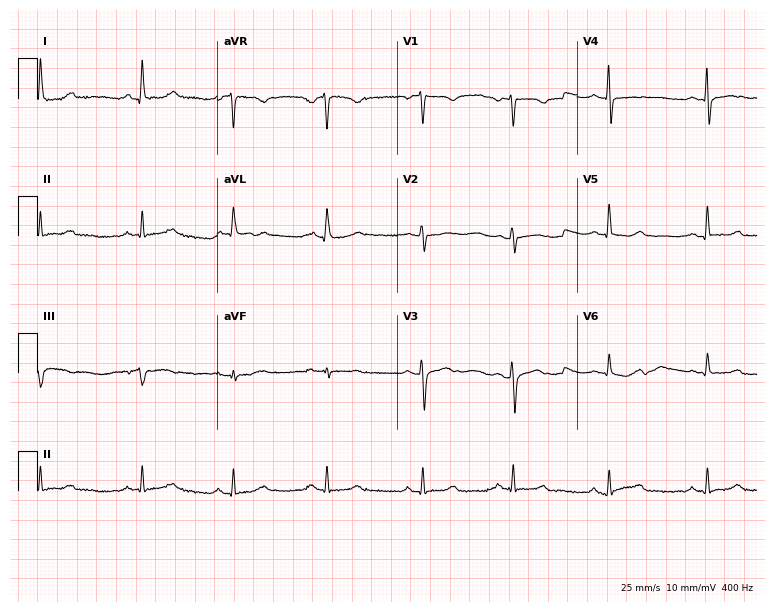
12-lead ECG from a female, 55 years old. No first-degree AV block, right bundle branch block, left bundle branch block, sinus bradycardia, atrial fibrillation or sinus tachycardia recorded for this tracing.